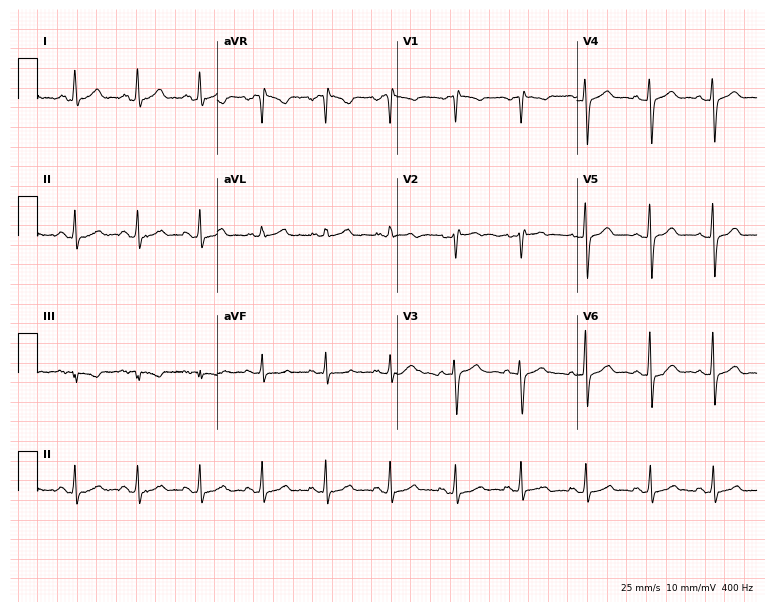
Standard 12-lead ECG recorded from a female patient, 42 years old. Read as a normal ECG.